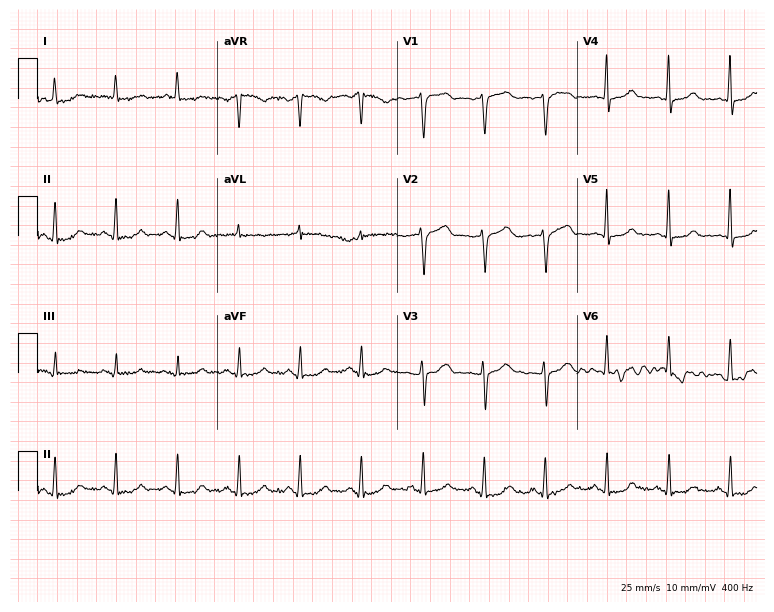
12-lead ECG (7.3-second recording at 400 Hz) from a woman, 47 years old. Labelled as a normal ECG.